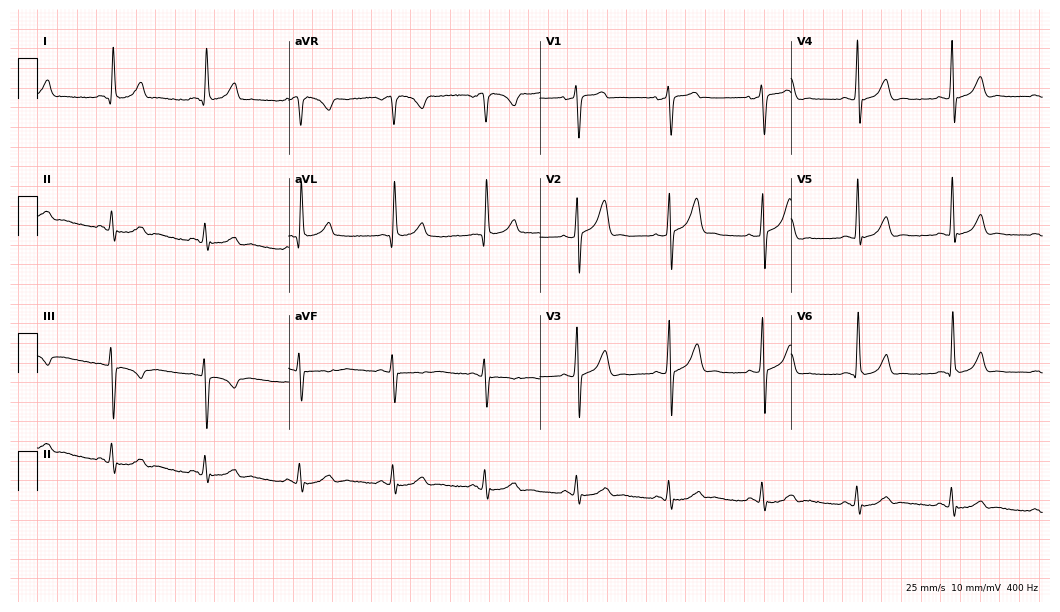
12-lead ECG (10.2-second recording at 400 Hz) from a man, 63 years old. Labelled as a normal ECG.